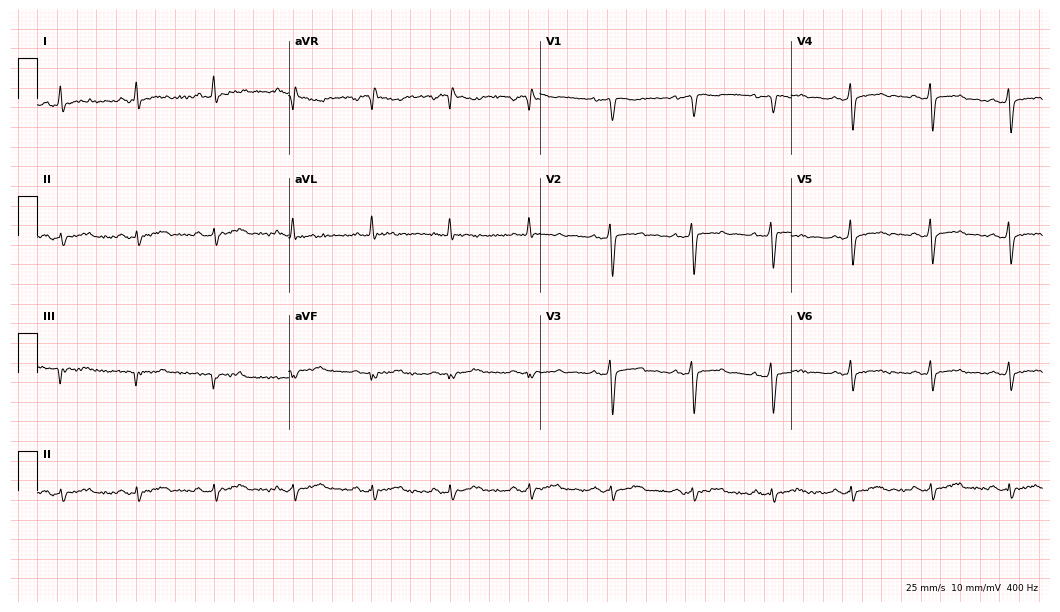
12-lead ECG from a female, 52 years old. No first-degree AV block, right bundle branch block (RBBB), left bundle branch block (LBBB), sinus bradycardia, atrial fibrillation (AF) or sinus tachycardia recorded for this tracing. Only these six findings were labelled.